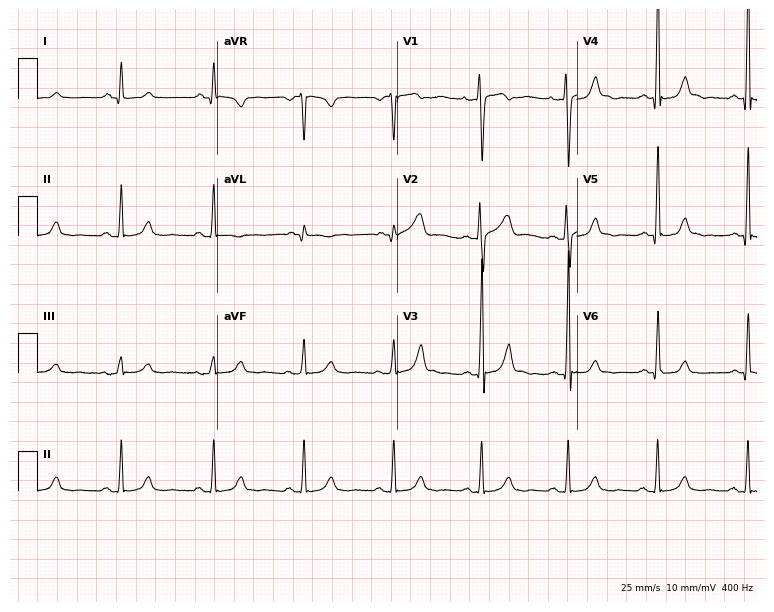
Electrocardiogram, a woman, 38 years old. Of the six screened findings (first-degree AV block, right bundle branch block (RBBB), left bundle branch block (LBBB), sinus bradycardia, atrial fibrillation (AF), sinus tachycardia), none is recorded.